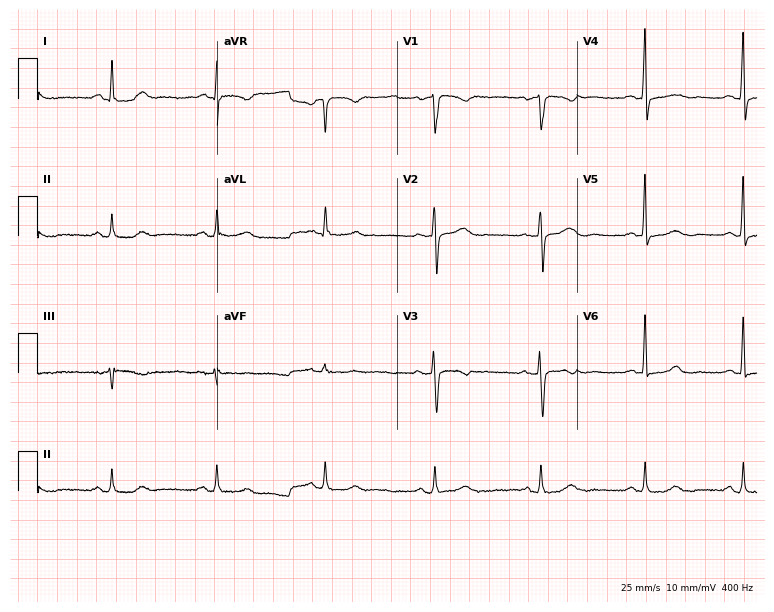
ECG — a 46-year-old woman. Labelled as a normal ECG.